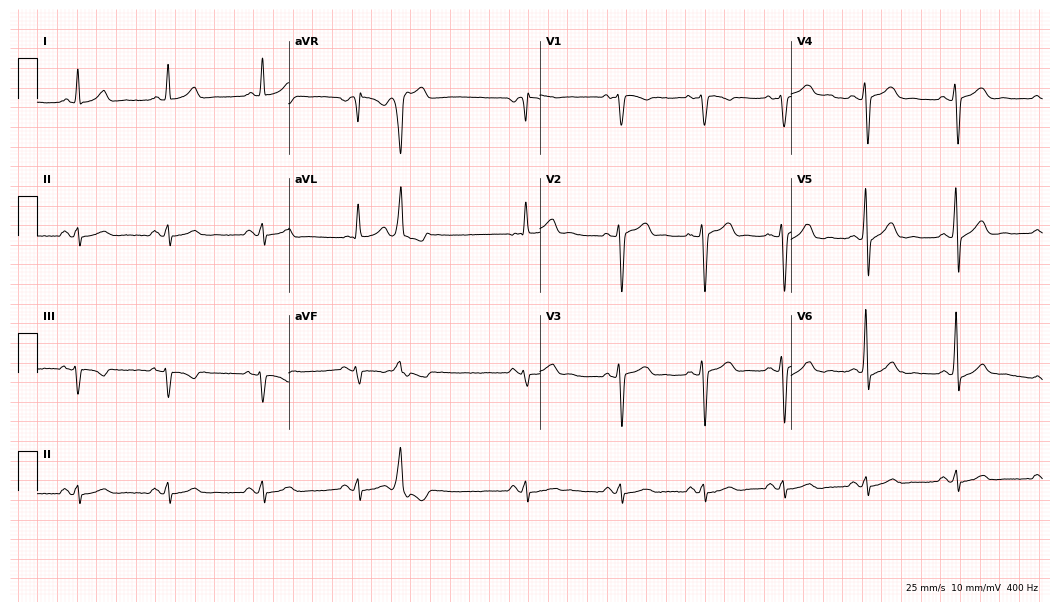
12-lead ECG from a 57-year-old male patient. Labelled as a normal ECG.